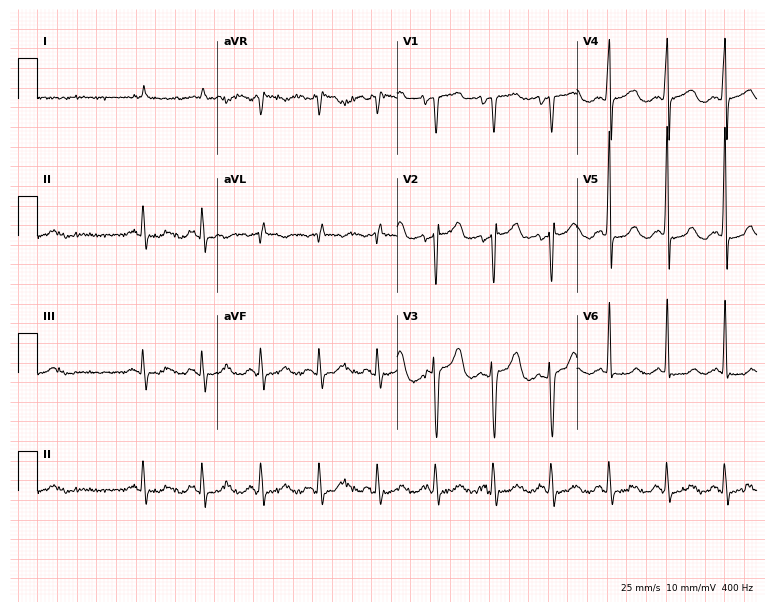
12-lead ECG from a man, 84 years old (7.3-second recording at 400 Hz). Shows sinus tachycardia (a sinus rate of 100 beats per minute or more).